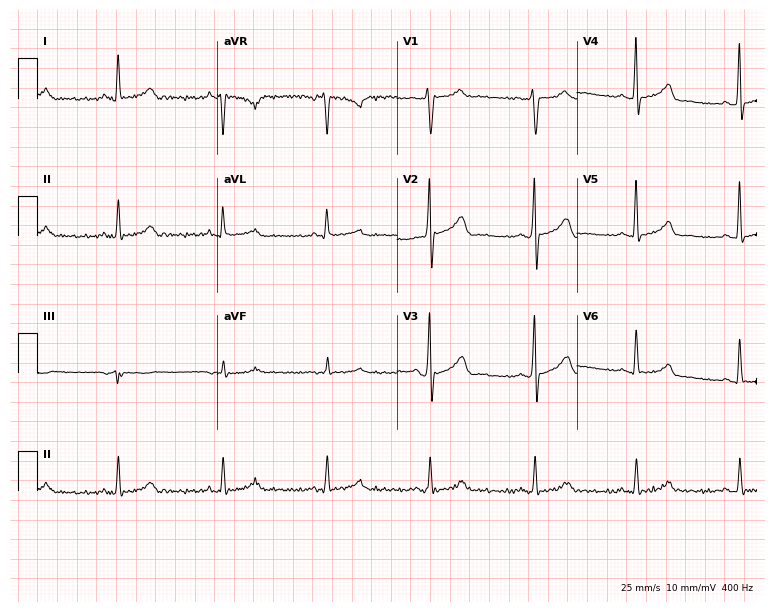
Standard 12-lead ECG recorded from a 65-year-old man (7.3-second recording at 400 Hz). None of these six findings is recorded: first-degree AV block, right bundle branch block, left bundle branch block, sinus bradycardia, atrial fibrillation, sinus tachycardia.